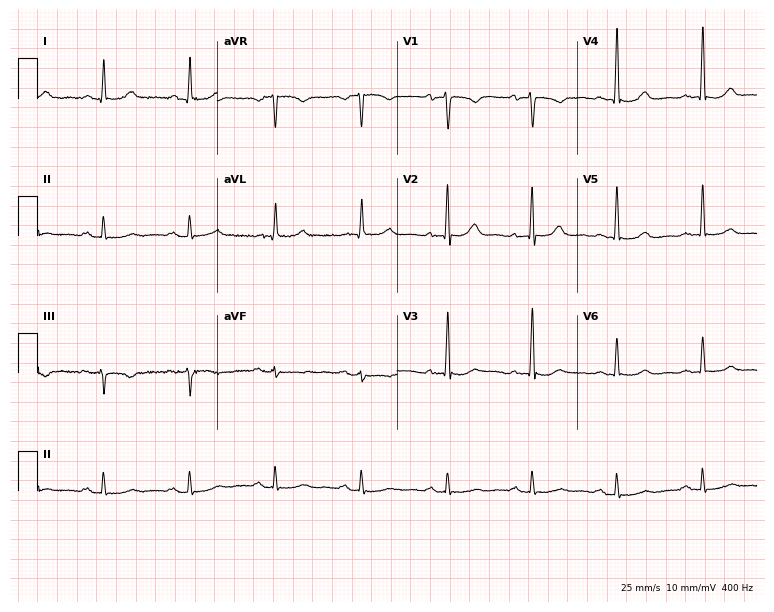
Standard 12-lead ECG recorded from a female patient, 58 years old. None of these six findings is recorded: first-degree AV block, right bundle branch block, left bundle branch block, sinus bradycardia, atrial fibrillation, sinus tachycardia.